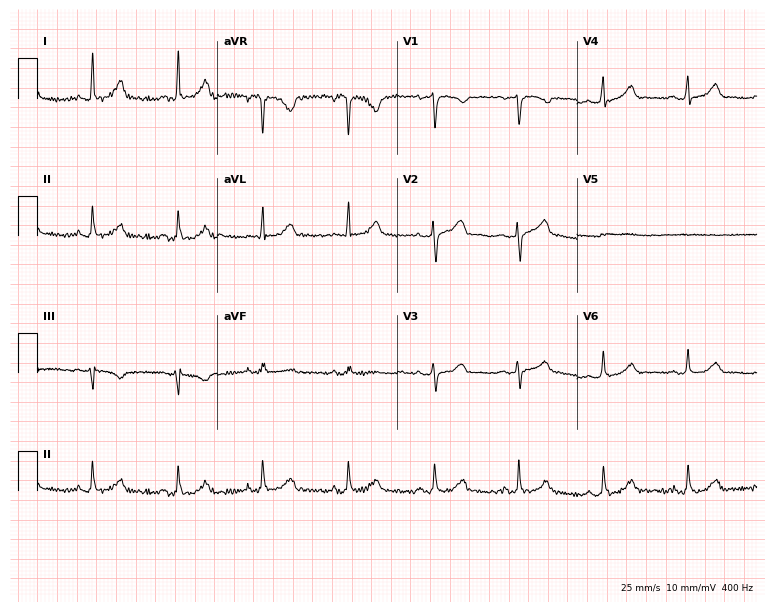
Resting 12-lead electrocardiogram (7.3-second recording at 400 Hz). Patient: a 50-year-old female. None of these six findings is recorded: first-degree AV block, right bundle branch block, left bundle branch block, sinus bradycardia, atrial fibrillation, sinus tachycardia. Only these six findings were labelled.